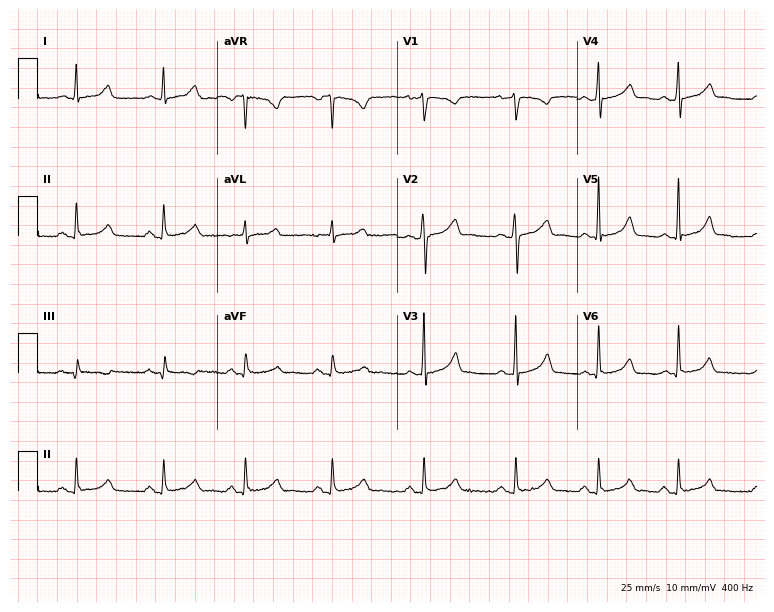
Electrocardiogram (7.3-second recording at 400 Hz), a 34-year-old woman. Overall reading on record: normal ECG.